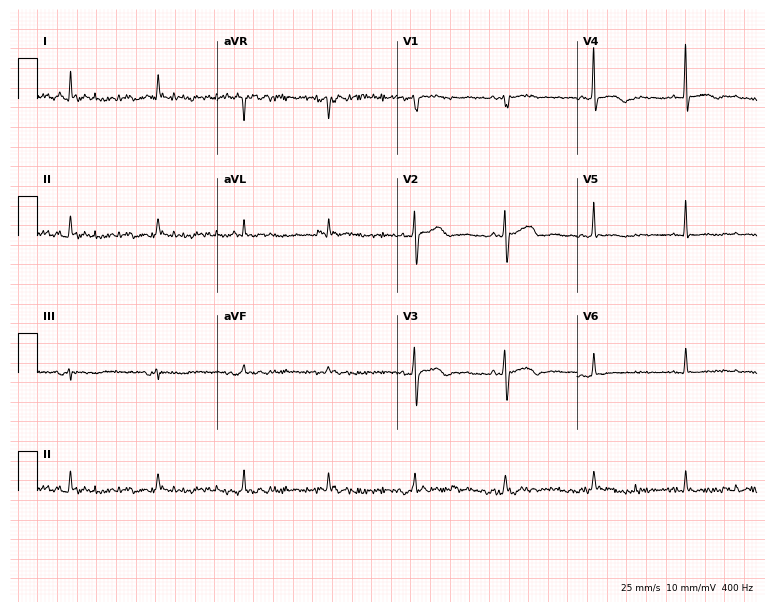
Standard 12-lead ECG recorded from an 82-year-old female patient (7.3-second recording at 400 Hz). Read as a normal ECG.